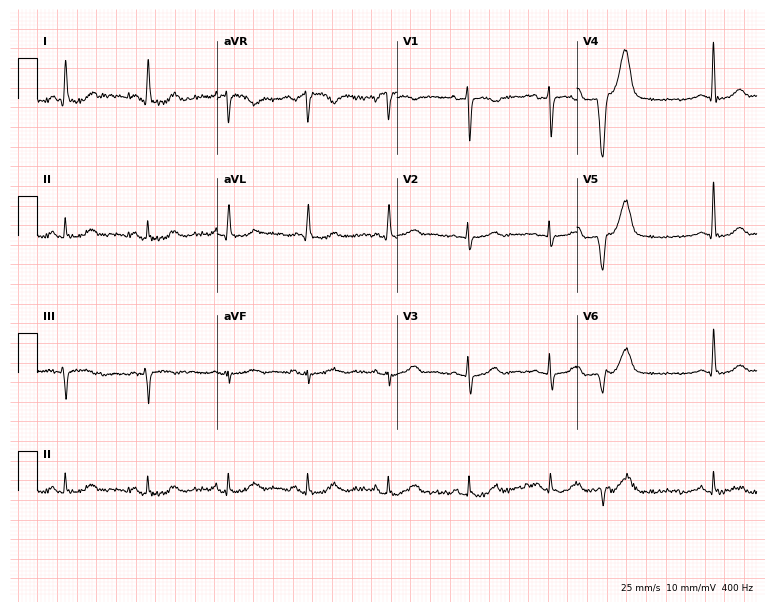
Electrocardiogram, a 67-year-old woman. Of the six screened findings (first-degree AV block, right bundle branch block, left bundle branch block, sinus bradycardia, atrial fibrillation, sinus tachycardia), none is recorded. Other findings, if any, are not listed.